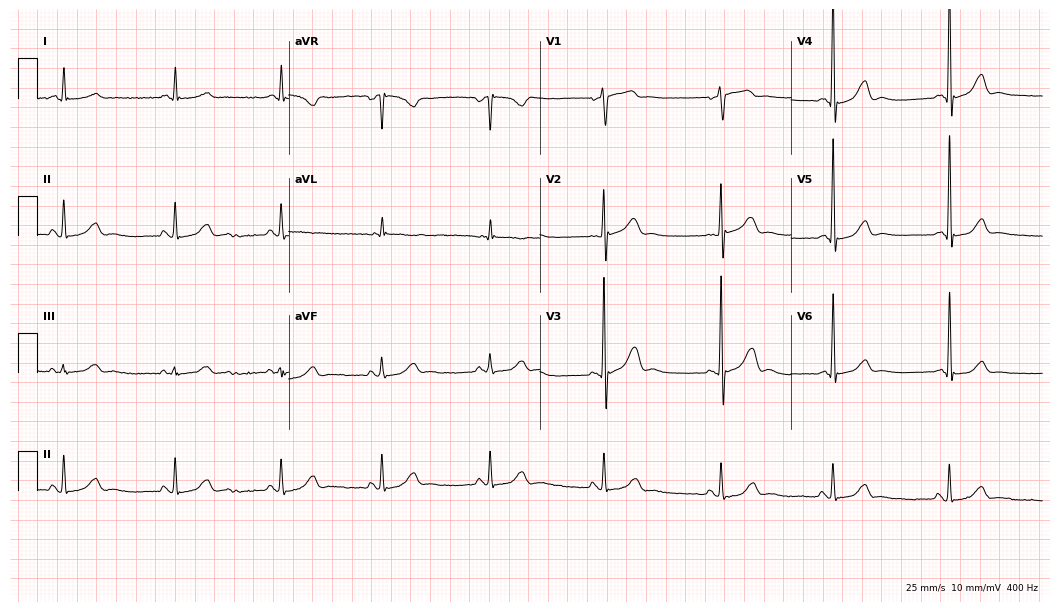
Resting 12-lead electrocardiogram. Patient: a male, 81 years old. Read as a normal ECG.